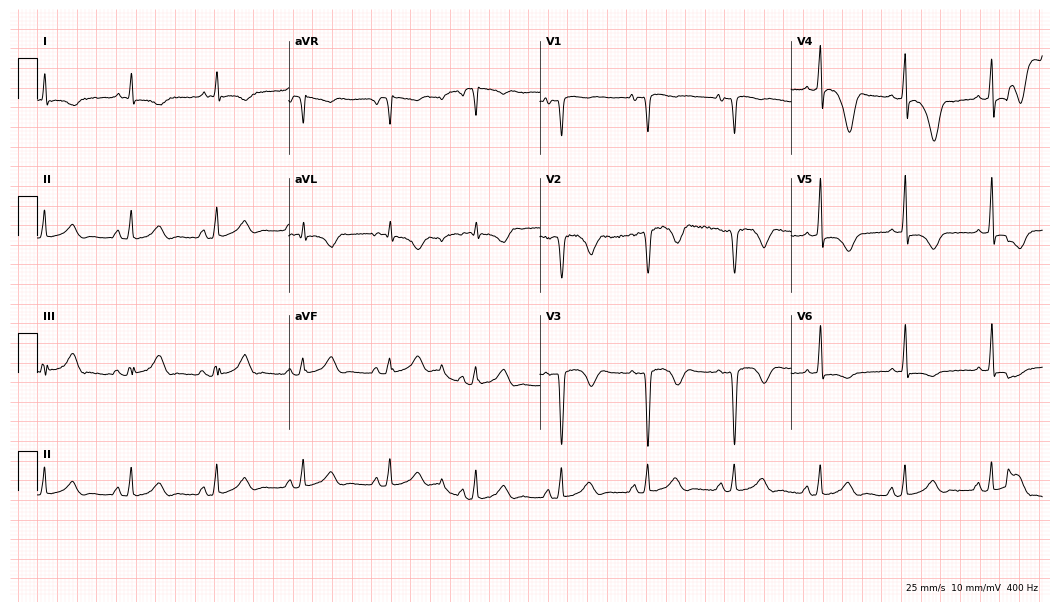
ECG (10.2-second recording at 400 Hz) — a 61-year-old man. Screened for six findings — first-degree AV block, right bundle branch block, left bundle branch block, sinus bradycardia, atrial fibrillation, sinus tachycardia — none is recorded.